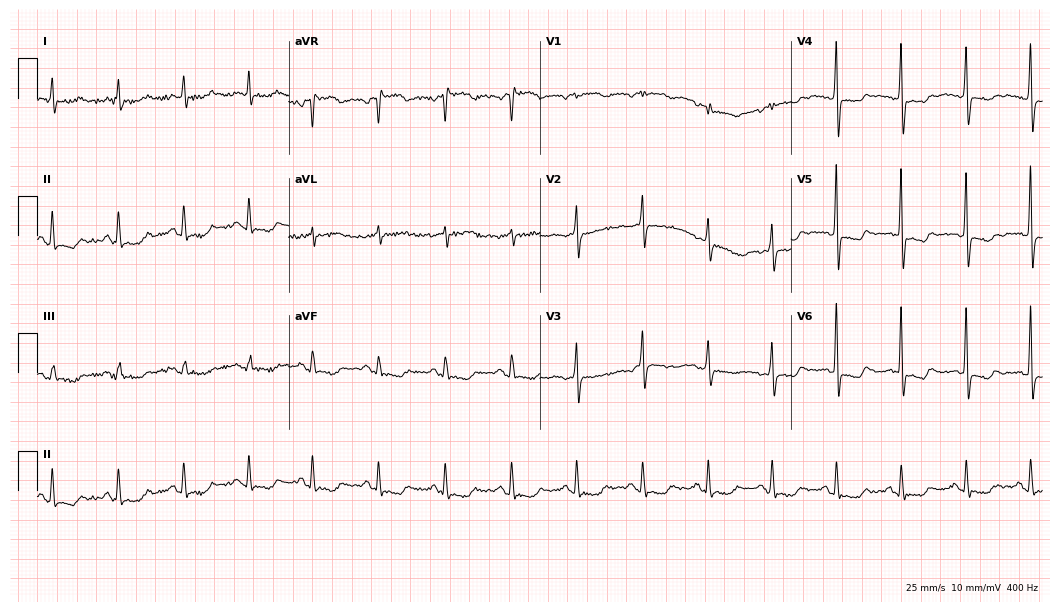
Resting 12-lead electrocardiogram. Patient: an 80-year-old female. None of these six findings is recorded: first-degree AV block, right bundle branch block, left bundle branch block, sinus bradycardia, atrial fibrillation, sinus tachycardia. Other findings, if any, are not listed.